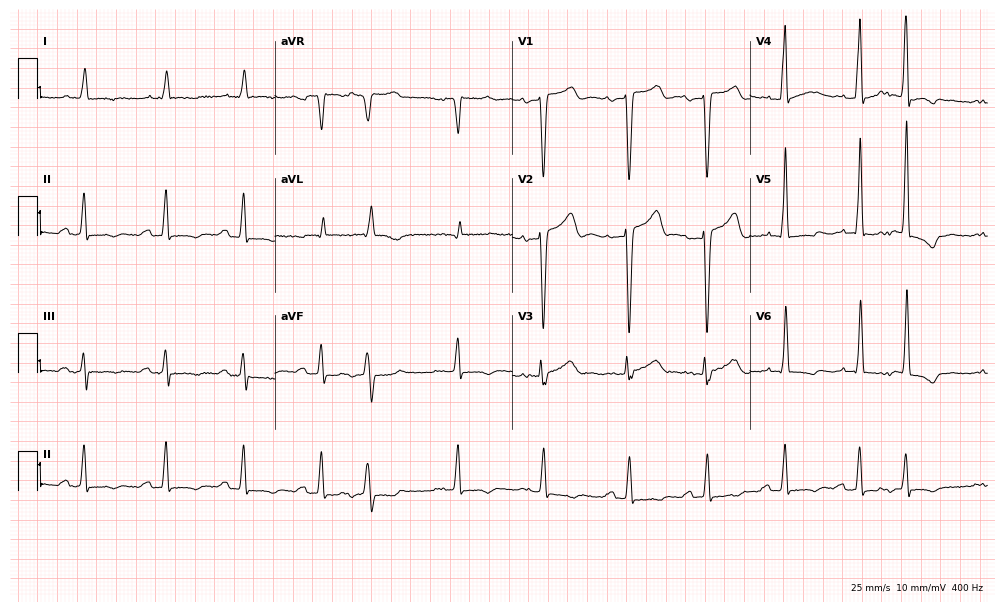
ECG (9.7-second recording at 400 Hz) — a man, 73 years old. Screened for six findings — first-degree AV block, right bundle branch block (RBBB), left bundle branch block (LBBB), sinus bradycardia, atrial fibrillation (AF), sinus tachycardia — none is recorded. Findings outside these six are not listed.